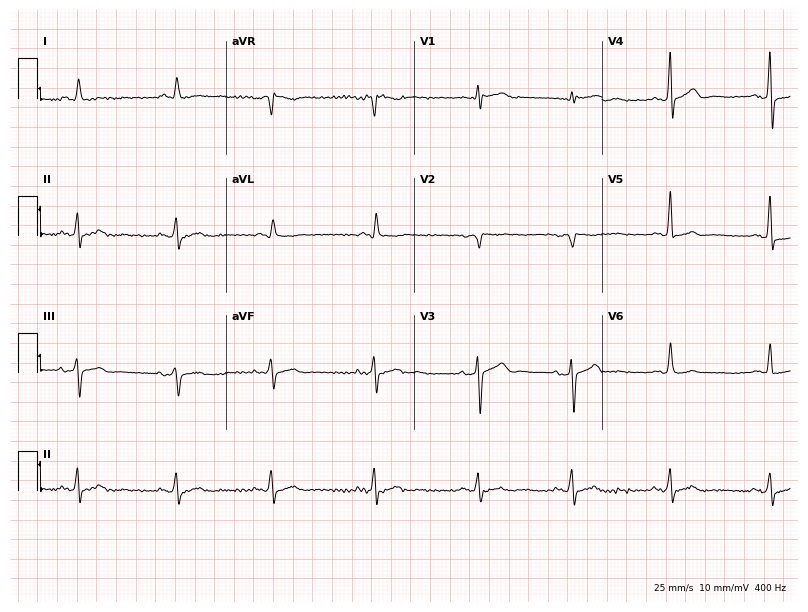
Resting 12-lead electrocardiogram. Patient: a 68-year-old man. None of these six findings is recorded: first-degree AV block, right bundle branch block (RBBB), left bundle branch block (LBBB), sinus bradycardia, atrial fibrillation (AF), sinus tachycardia.